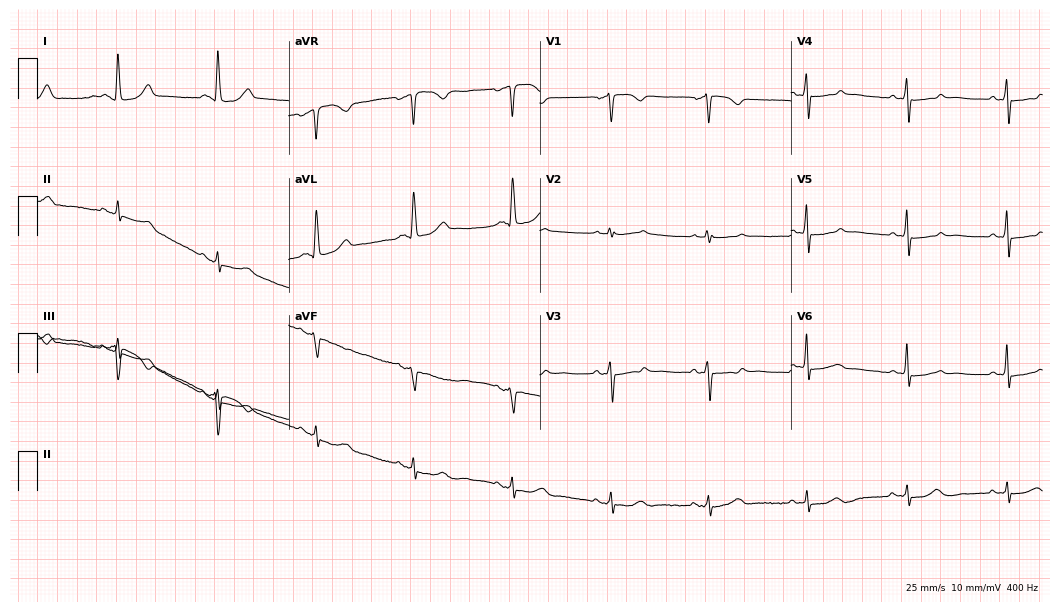
12-lead ECG from a woman, 69 years old. Labelled as a normal ECG.